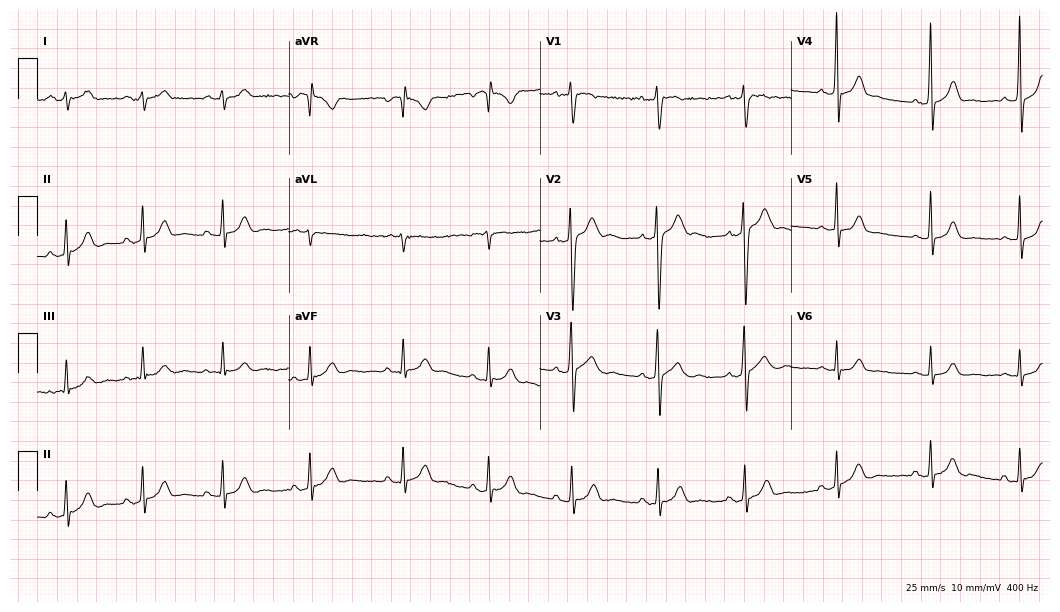
Resting 12-lead electrocardiogram (10.2-second recording at 400 Hz). Patient: a 19-year-old male. None of these six findings is recorded: first-degree AV block, right bundle branch block, left bundle branch block, sinus bradycardia, atrial fibrillation, sinus tachycardia. Only these six findings were labelled.